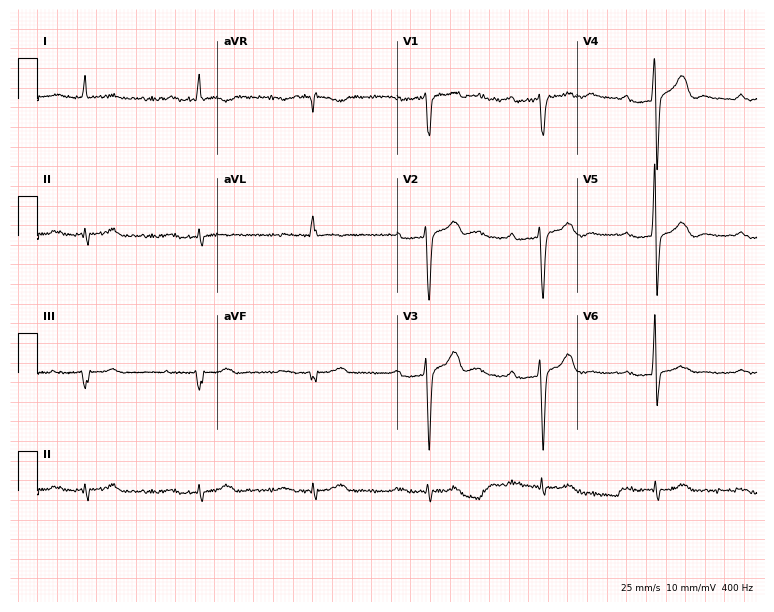
Resting 12-lead electrocardiogram. Patient: a male, 65 years old. The tracing shows first-degree AV block.